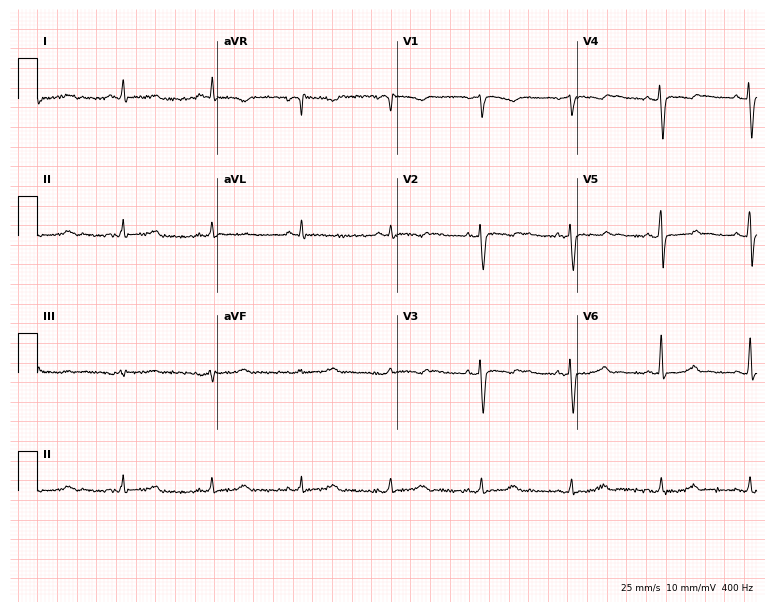
12-lead ECG from a 50-year-old female. Screened for six findings — first-degree AV block, right bundle branch block, left bundle branch block, sinus bradycardia, atrial fibrillation, sinus tachycardia — none is recorded.